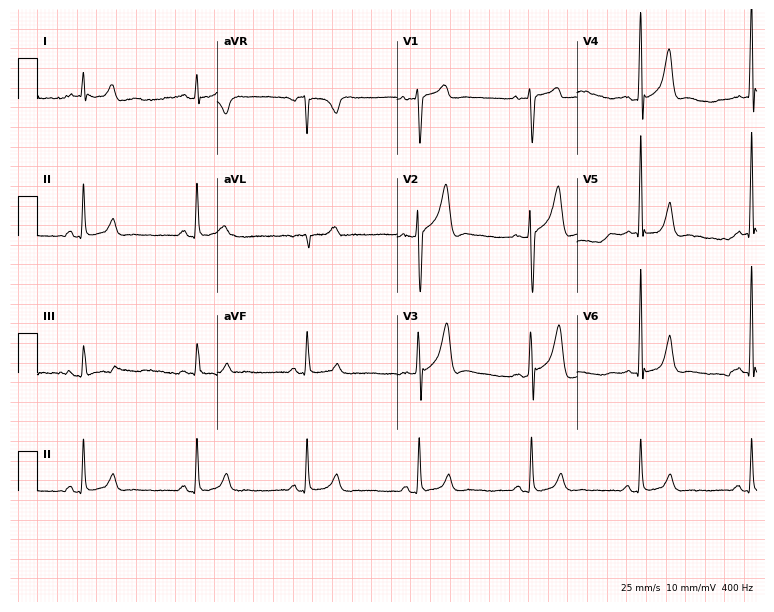
12-lead ECG from a 42-year-old male patient. Recorded interpretation: within normal limits.